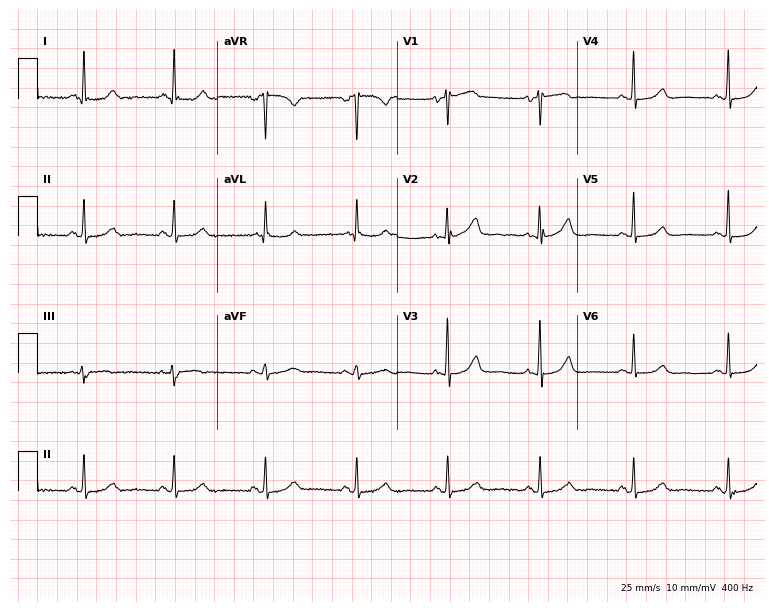
ECG — a female, 77 years old. Screened for six findings — first-degree AV block, right bundle branch block (RBBB), left bundle branch block (LBBB), sinus bradycardia, atrial fibrillation (AF), sinus tachycardia — none is recorded.